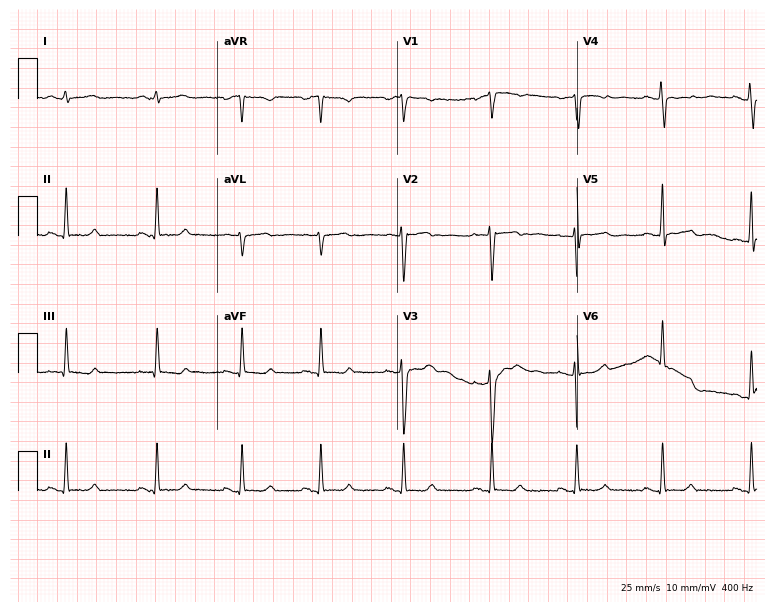
Resting 12-lead electrocardiogram (7.3-second recording at 400 Hz). Patient: a female, 26 years old. None of these six findings is recorded: first-degree AV block, right bundle branch block, left bundle branch block, sinus bradycardia, atrial fibrillation, sinus tachycardia.